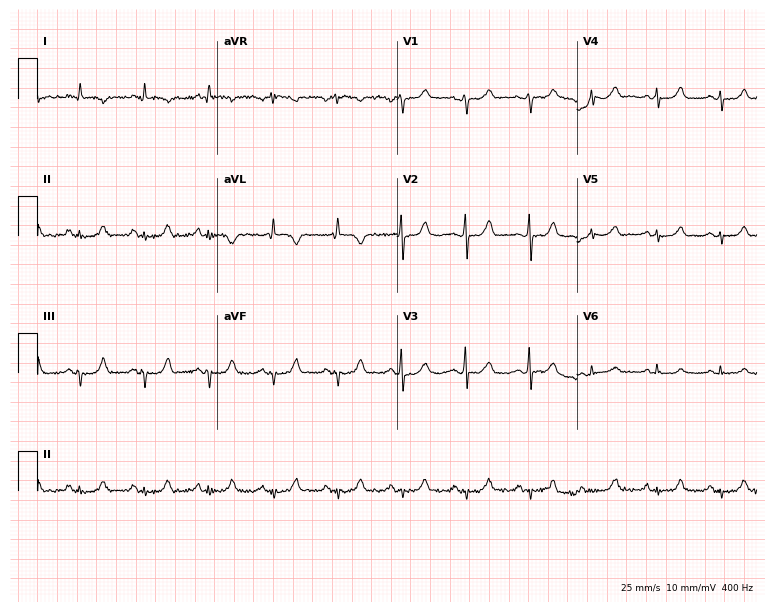
Resting 12-lead electrocardiogram (7.3-second recording at 400 Hz). Patient: a female, 59 years old. Read as a normal ECG.